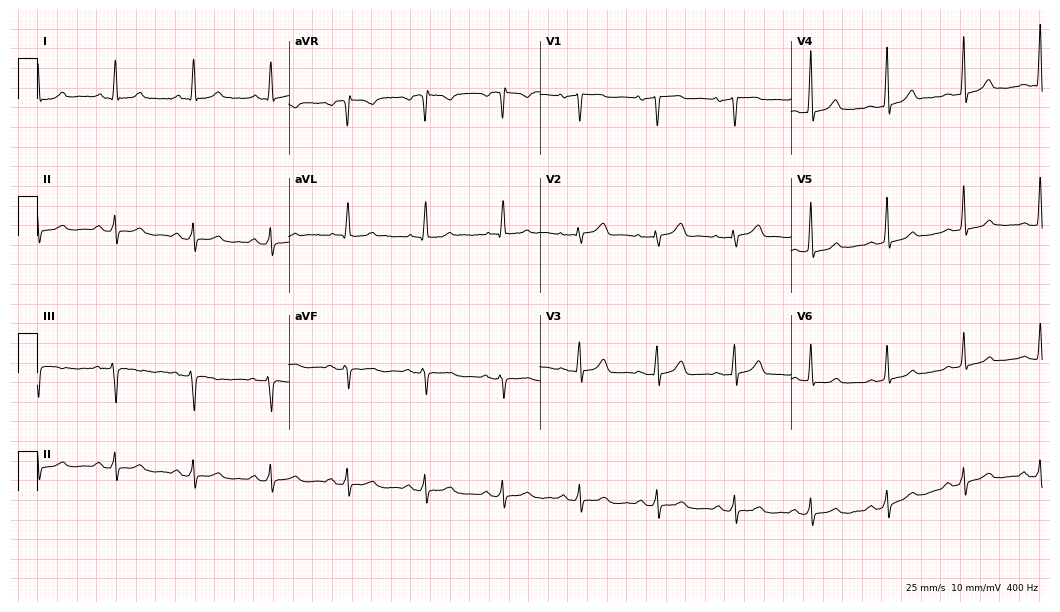
12-lead ECG from a 69-year-old woman (10.2-second recording at 400 Hz). Recorded interpretation: within normal limits.